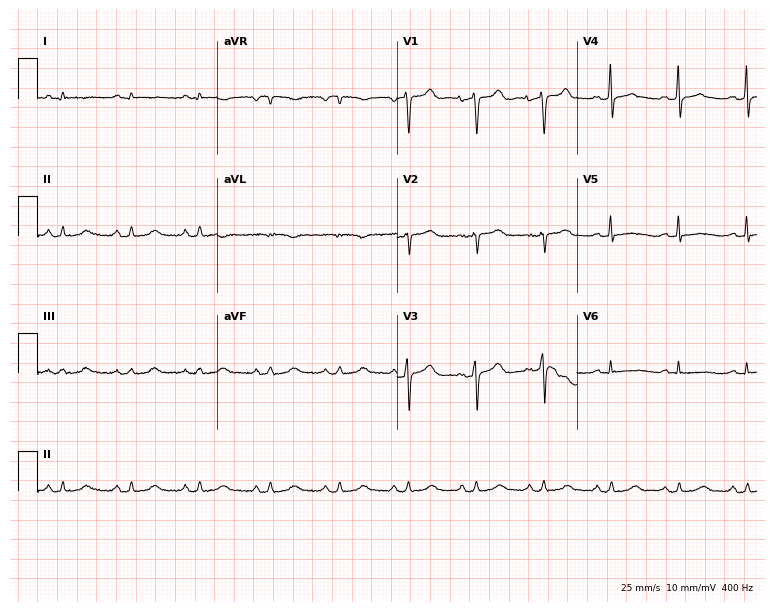
ECG — a 68-year-old female. Screened for six findings — first-degree AV block, right bundle branch block (RBBB), left bundle branch block (LBBB), sinus bradycardia, atrial fibrillation (AF), sinus tachycardia — none is recorded. Findings outside these six are not listed.